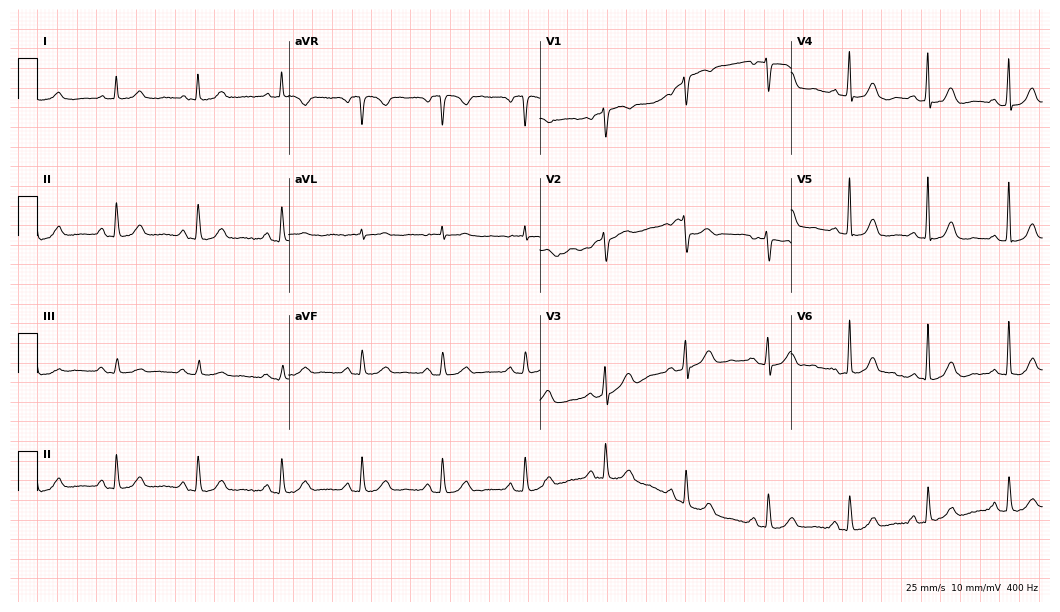
Resting 12-lead electrocardiogram (10.2-second recording at 400 Hz). Patient: a female, 76 years old. Read as a normal ECG.